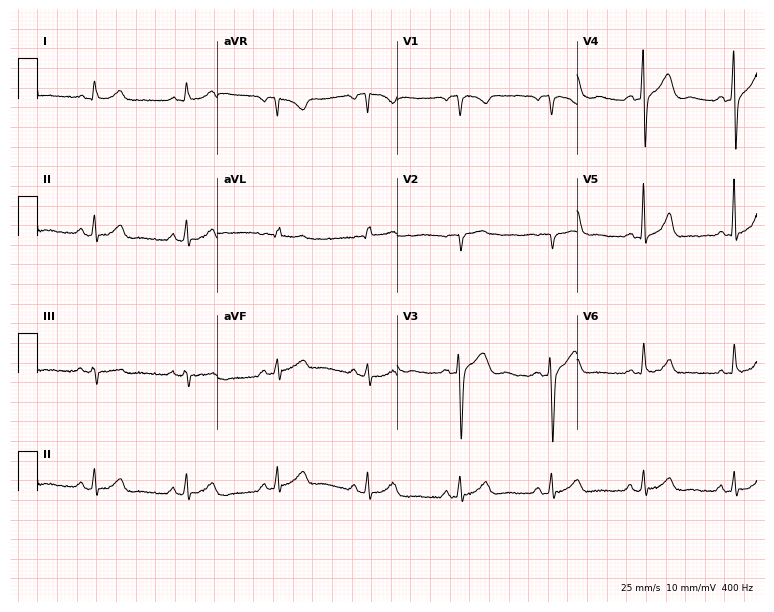
12-lead ECG from a male patient, 51 years old. Recorded interpretation: within normal limits.